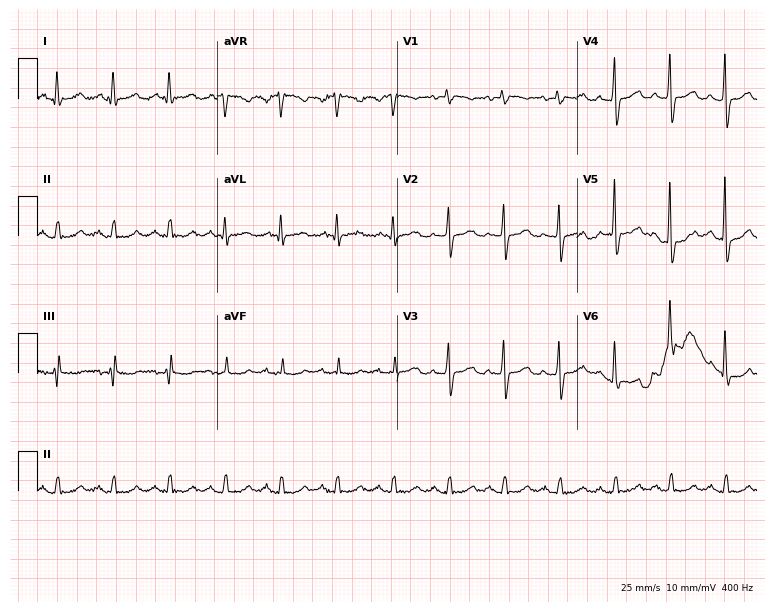
12-lead ECG from a female, 80 years old. Shows sinus tachycardia (a sinus rate of 100 beats per minute or more).